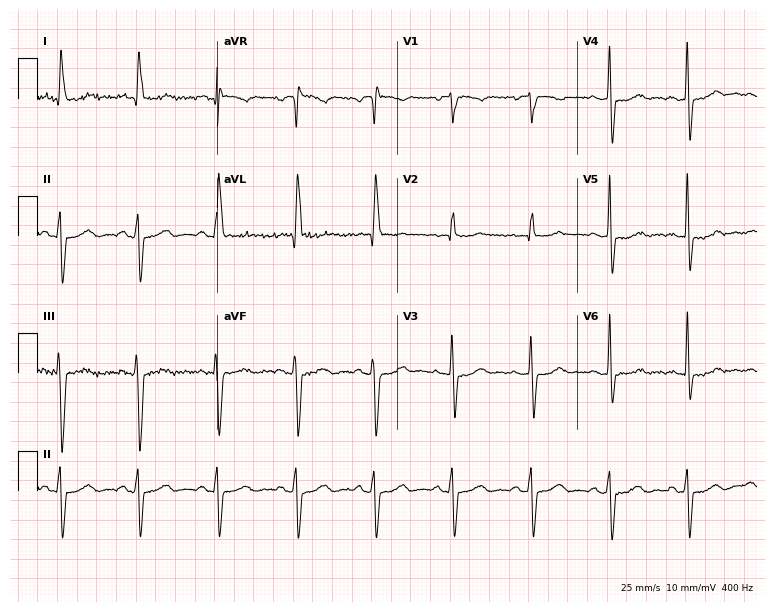
ECG (7.3-second recording at 400 Hz) — a 68-year-old female patient. Screened for six findings — first-degree AV block, right bundle branch block (RBBB), left bundle branch block (LBBB), sinus bradycardia, atrial fibrillation (AF), sinus tachycardia — none is recorded. Only these six findings were labelled.